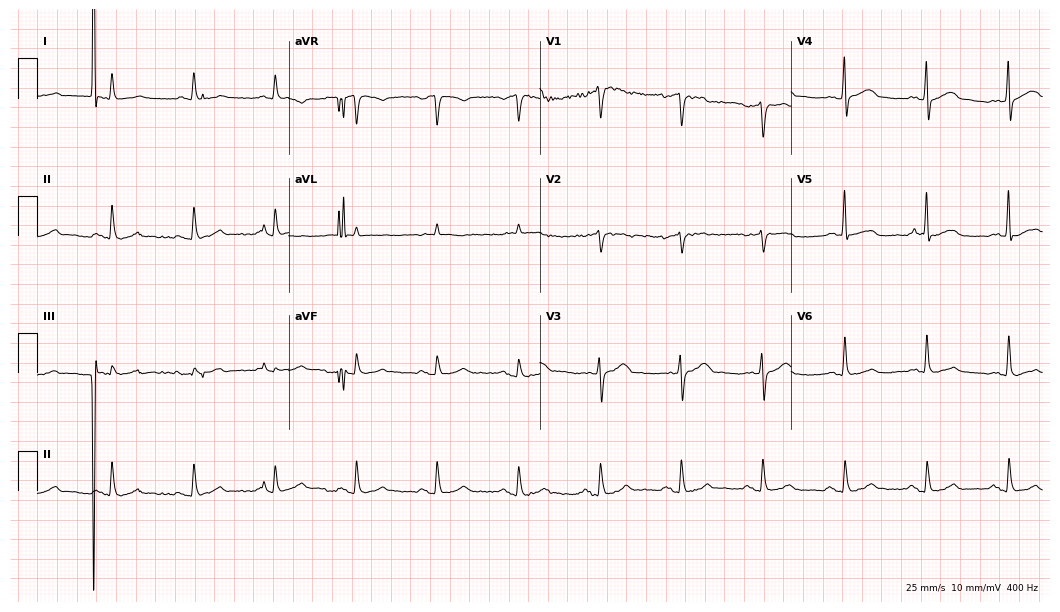
Standard 12-lead ECG recorded from a male patient, 75 years old (10.2-second recording at 400 Hz). Read as a normal ECG.